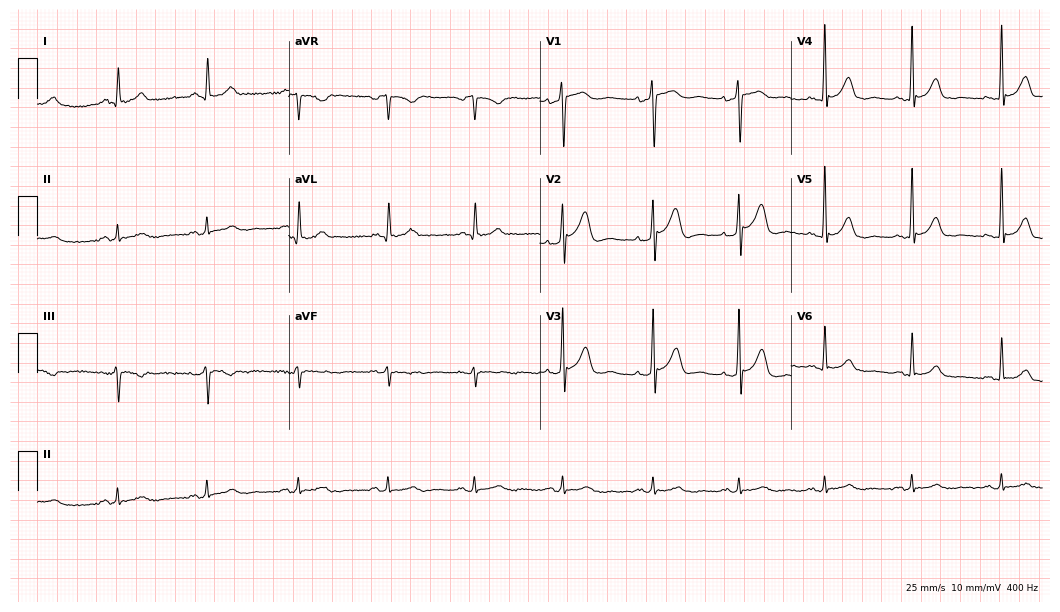
Resting 12-lead electrocardiogram. Patient: a 51-year-old male. Read as a normal ECG.